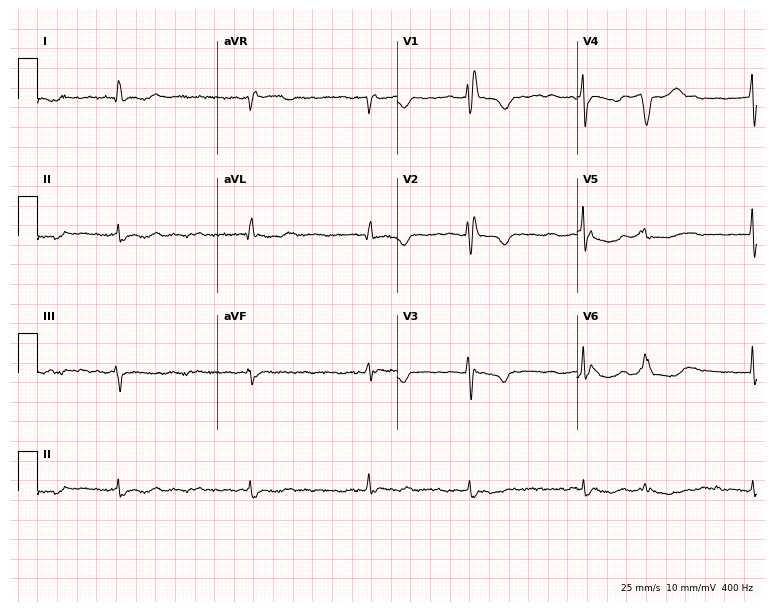
12-lead ECG from a 66-year-old female. Findings include right bundle branch block, atrial fibrillation.